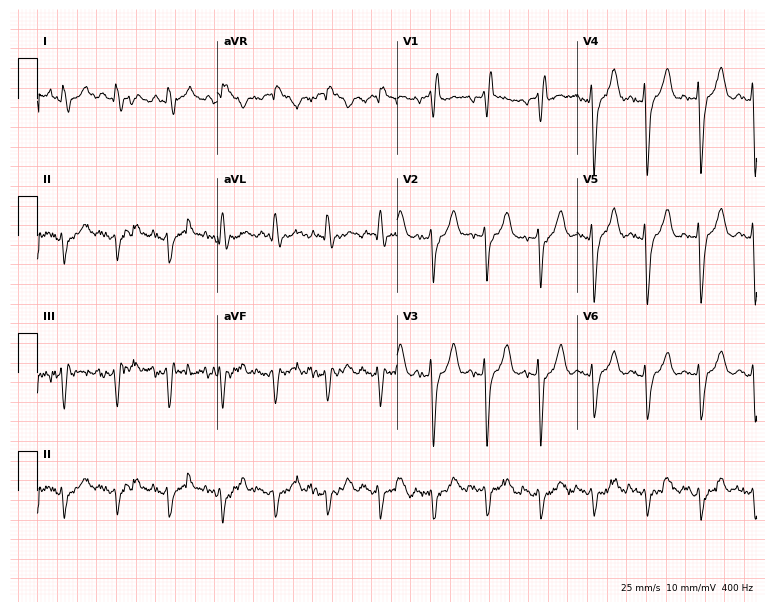
ECG (7.3-second recording at 400 Hz) — a male patient, 85 years old. Findings include right bundle branch block (RBBB), sinus tachycardia (a sinus rate of 100 beats per minute or more).